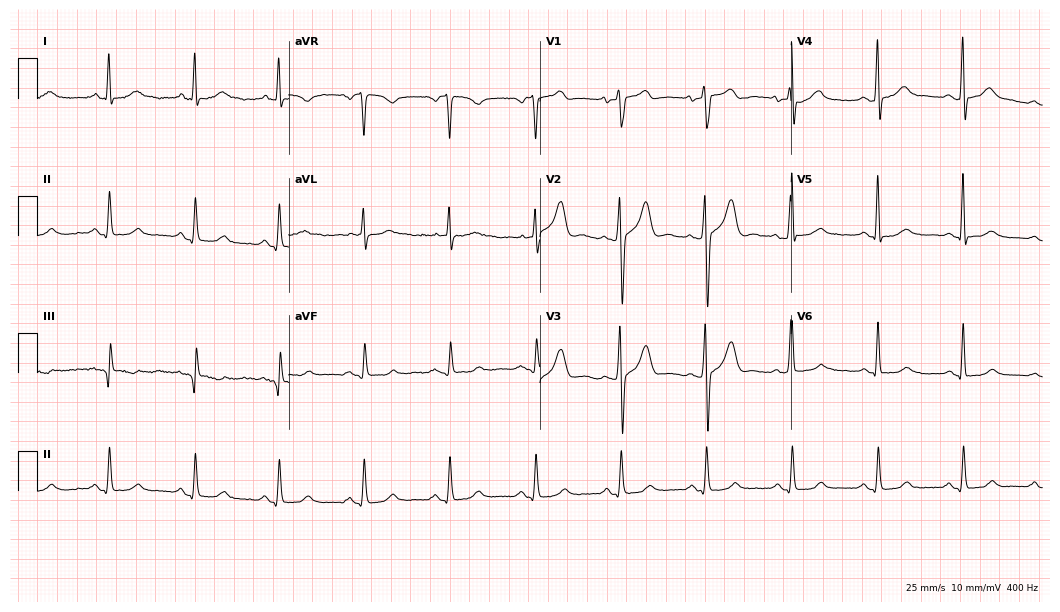
12-lead ECG (10.2-second recording at 400 Hz) from a male, 56 years old. Labelled as a normal ECG.